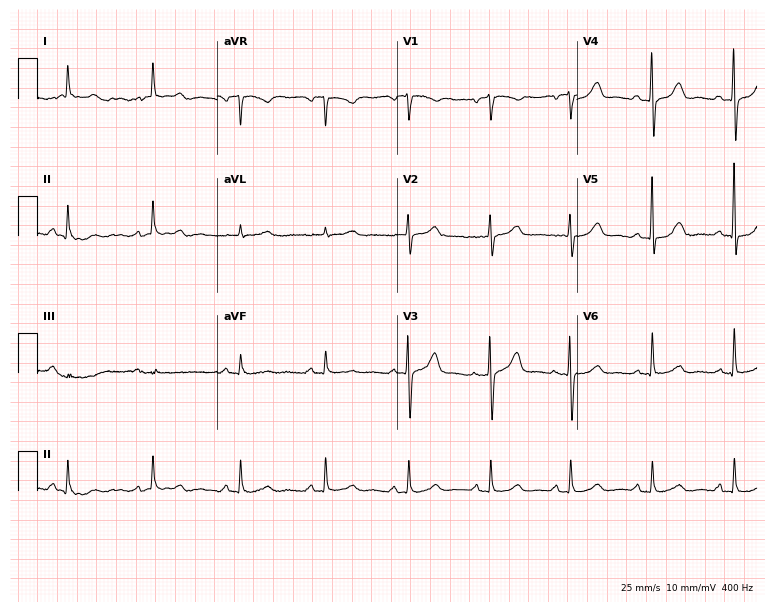
ECG (7.3-second recording at 400 Hz) — a female, 77 years old. Labelled as a normal ECG.